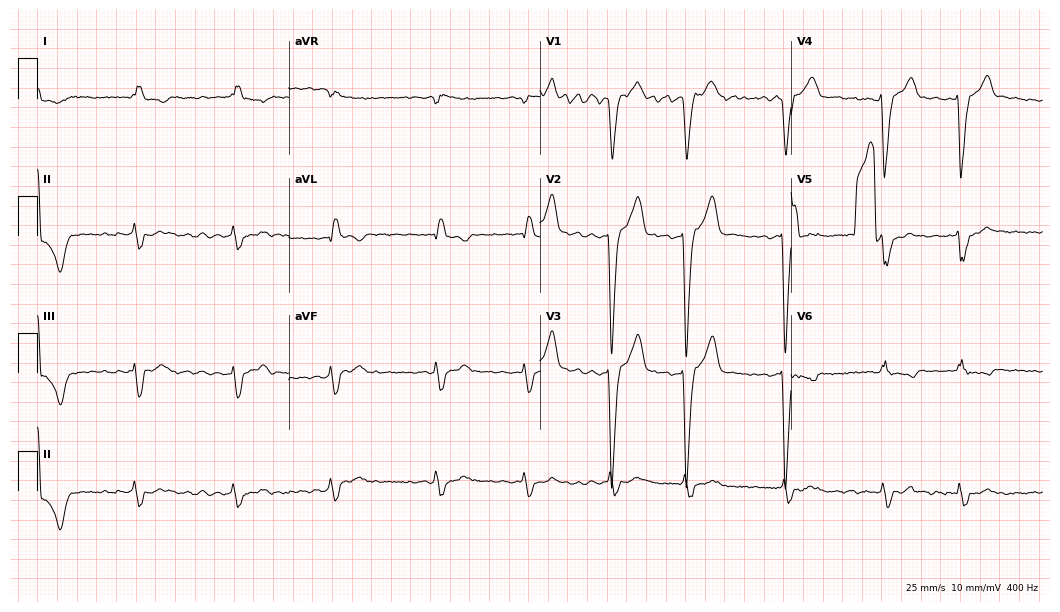
Resting 12-lead electrocardiogram. Patient: an 82-year-old male. The tracing shows left bundle branch block, atrial fibrillation.